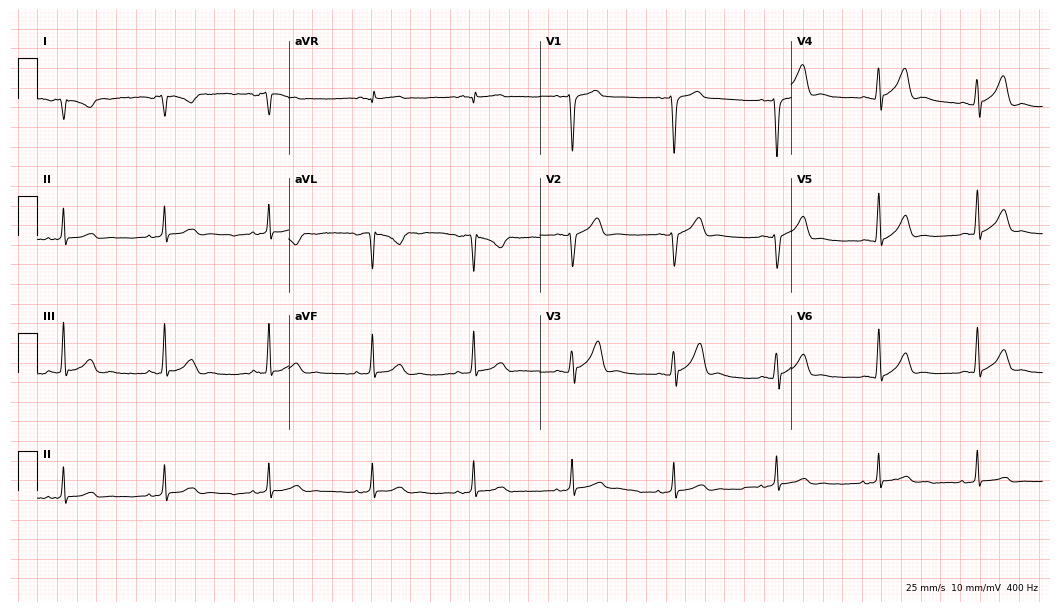
ECG — a man, 44 years old. Screened for six findings — first-degree AV block, right bundle branch block, left bundle branch block, sinus bradycardia, atrial fibrillation, sinus tachycardia — none is recorded. Findings outside these six are not listed.